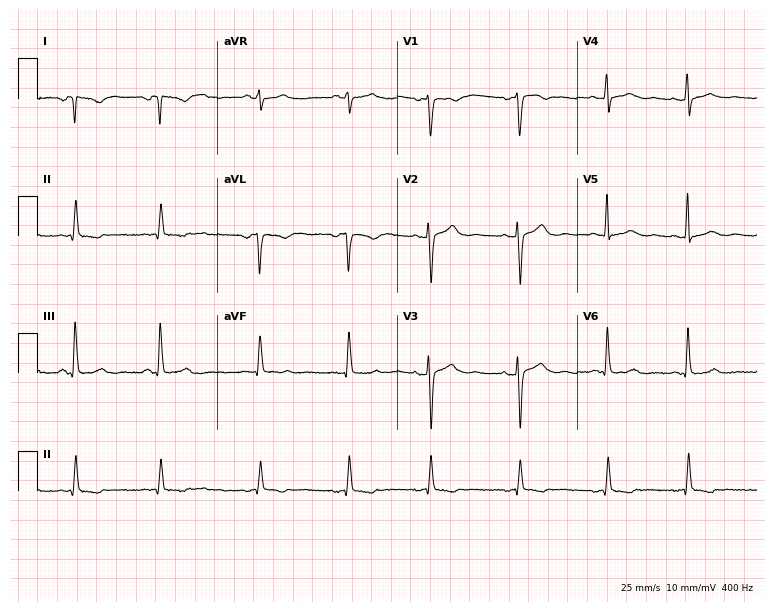
Electrocardiogram, a 36-year-old woman. Of the six screened findings (first-degree AV block, right bundle branch block, left bundle branch block, sinus bradycardia, atrial fibrillation, sinus tachycardia), none is recorded.